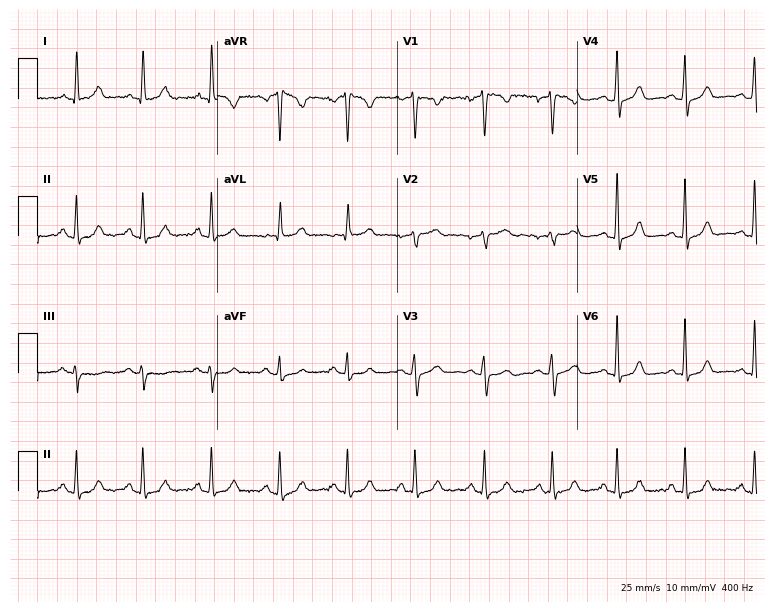
Resting 12-lead electrocardiogram. Patient: a 36-year-old female. None of these six findings is recorded: first-degree AV block, right bundle branch block (RBBB), left bundle branch block (LBBB), sinus bradycardia, atrial fibrillation (AF), sinus tachycardia. Only these six findings were labelled.